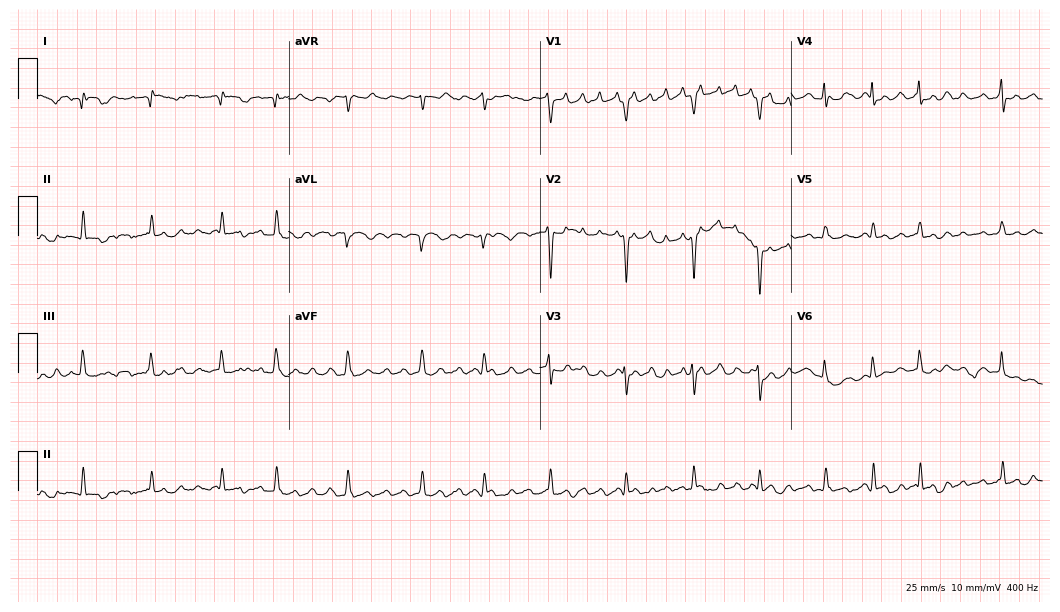
Electrocardiogram (10.2-second recording at 400 Hz), a 64-year-old female. Of the six screened findings (first-degree AV block, right bundle branch block, left bundle branch block, sinus bradycardia, atrial fibrillation, sinus tachycardia), none is recorded.